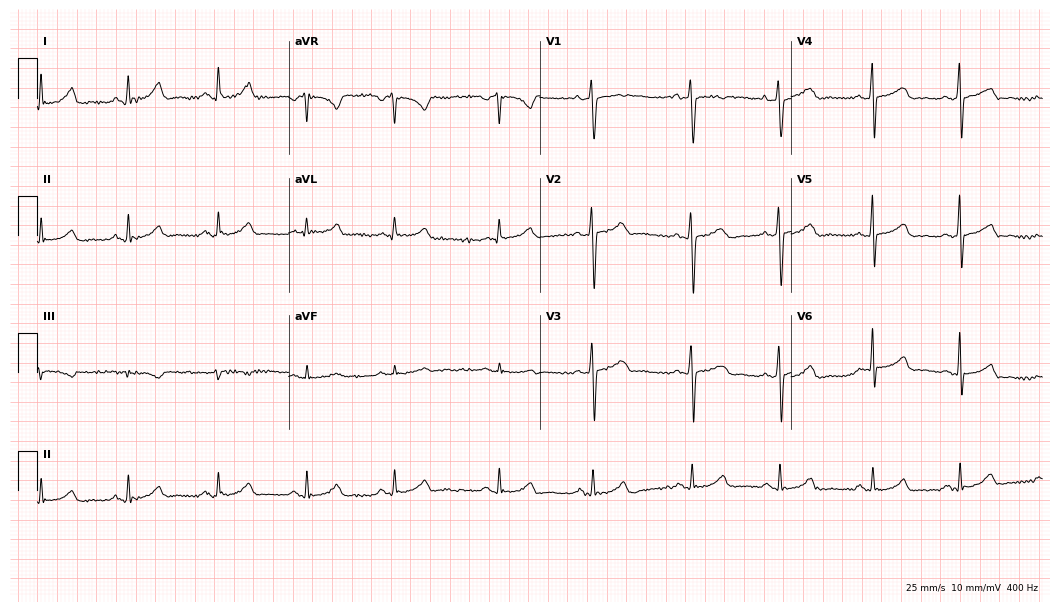
ECG (10.2-second recording at 400 Hz) — a woman, 43 years old. Labelled as a normal ECG.